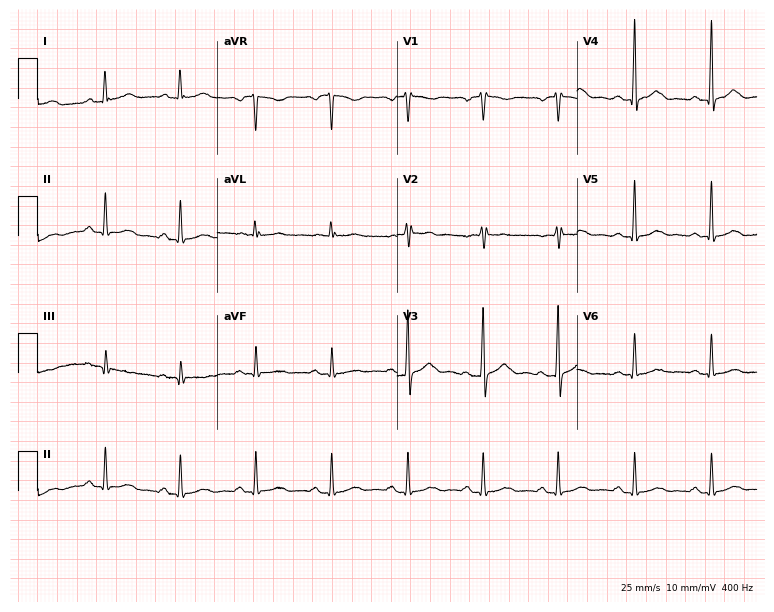
12-lead ECG from a female, 56 years old. No first-degree AV block, right bundle branch block (RBBB), left bundle branch block (LBBB), sinus bradycardia, atrial fibrillation (AF) or sinus tachycardia recorded for this tracing. Findings outside these six are not listed.